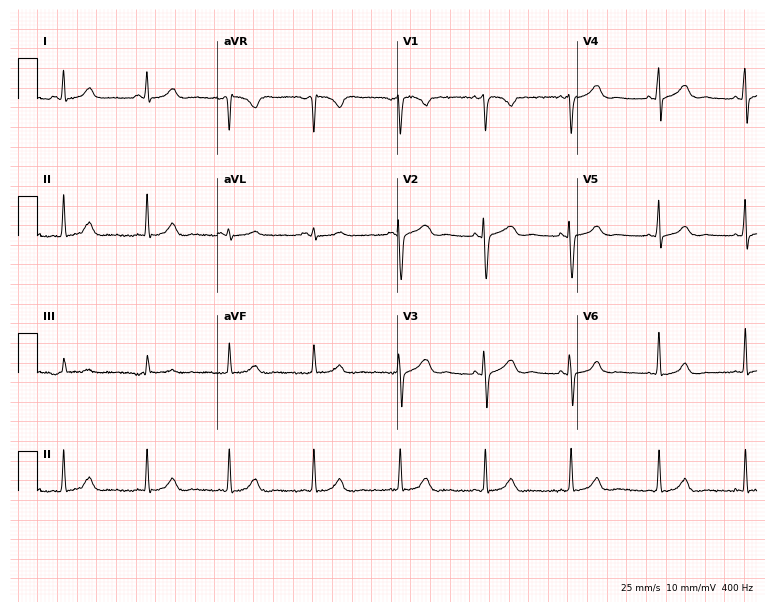
12-lead ECG from a woman, 25 years old. Labelled as a normal ECG.